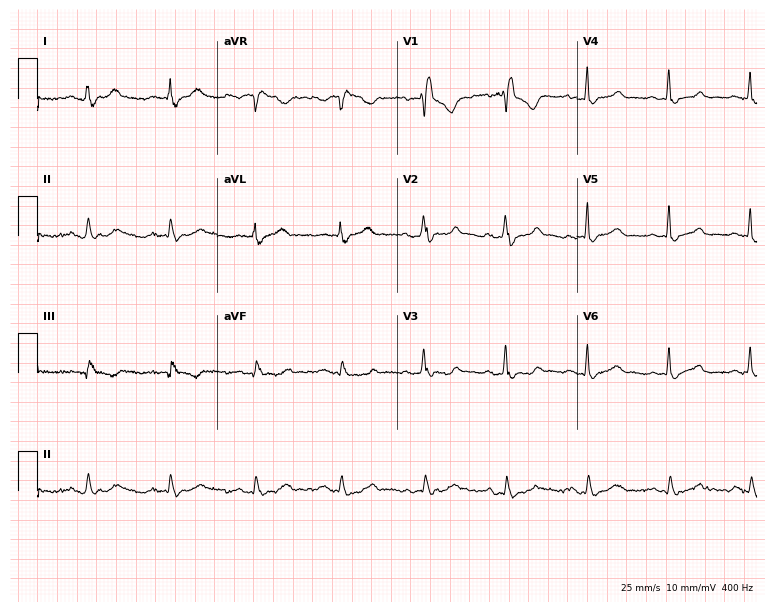
12-lead ECG (7.3-second recording at 400 Hz) from a 50-year-old female patient. Screened for six findings — first-degree AV block, right bundle branch block, left bundle branch block, sinus bradycardia, atrial fibrillation, sinus tachycardia — none is recorded.